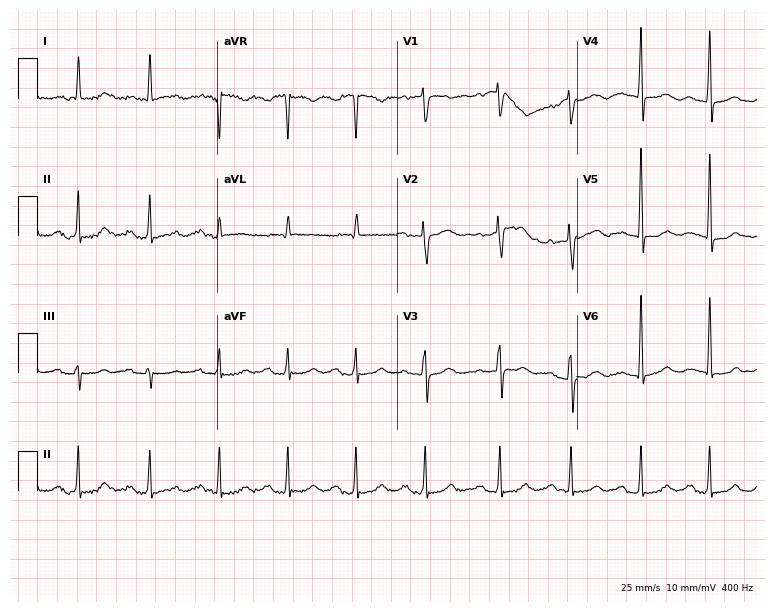
Standard 12-lead ECG recorded from a female patient, 68 years old (7.3-second recording at 400 Hz). The tracing shows first-degree AV block.